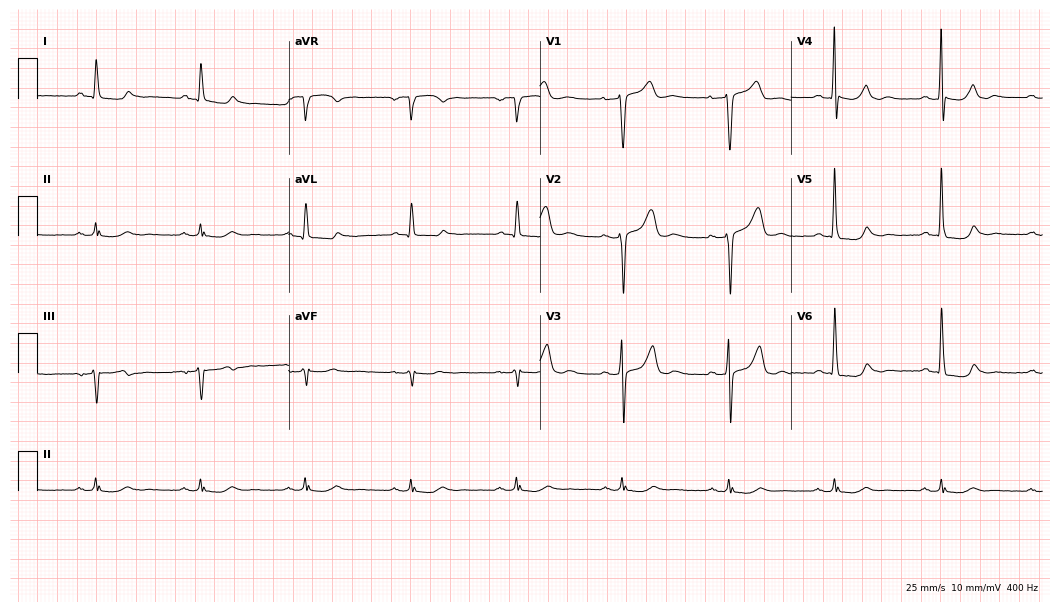
Resting 12-lead electrocardiogram (10.2-second recording at 400 Hz). Patient: a 66-year-old man. None of these six findings is recorded: first-degree AV block, right bundle branch block, left bundle branch block, sinus bradycardia, atrial fibrillation, sinus tachycardia.